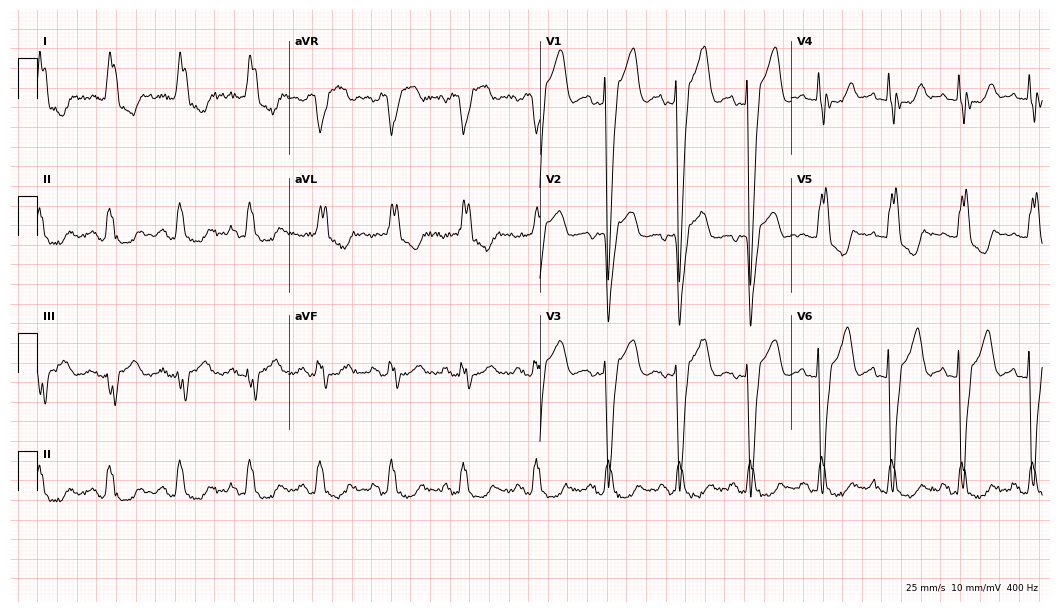
12-lead ECG from a 47-year-old woman. Shows left bundle branch block.